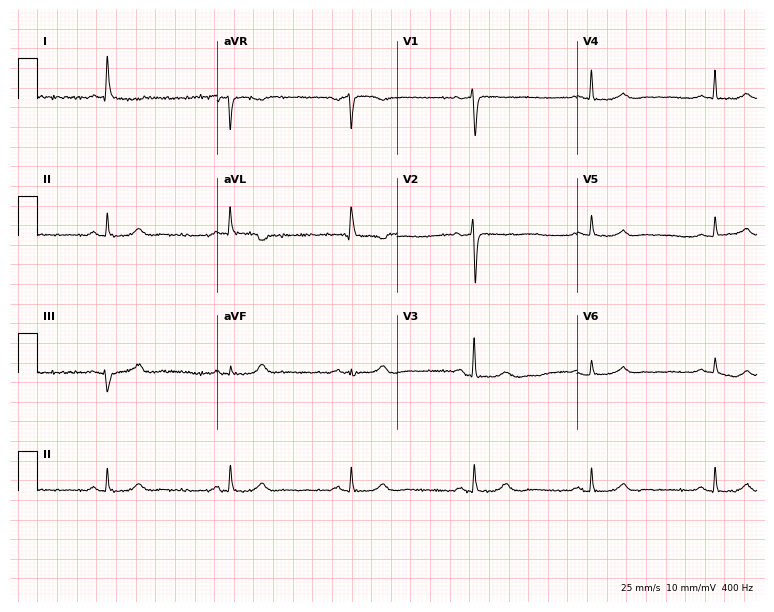
Electrocardiogram, an 83-year-old female. Interpretation includes sinus bradycardia (a sinus rate of 50 beats per minute or less).